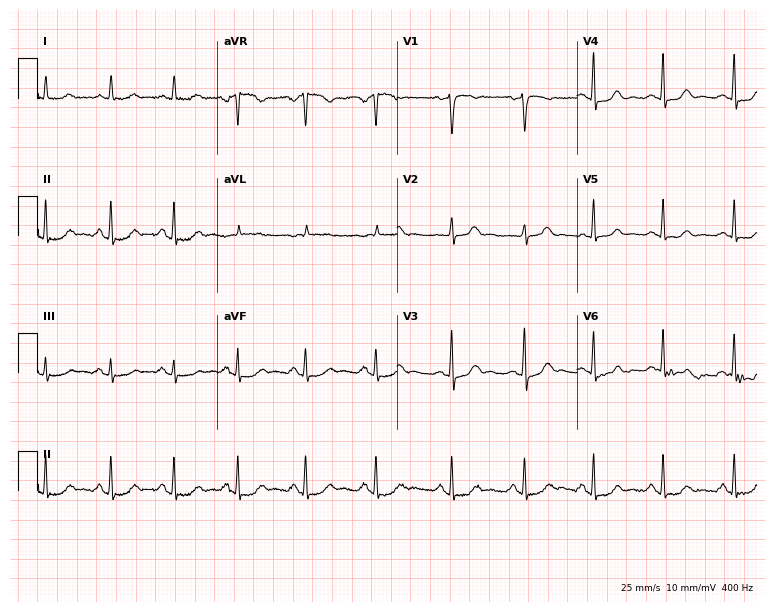
Resting 12-lead electrocardiogram (7.3-second recording at 400 Hz). Patient: a 42-year-old female. None of these six findings is recorded: first-degree AV block, right bundle branch block, left bundle branch block, sinus bradycardia, atrial fibrillation, sinus tachycardia. Only these six findings were labelled.